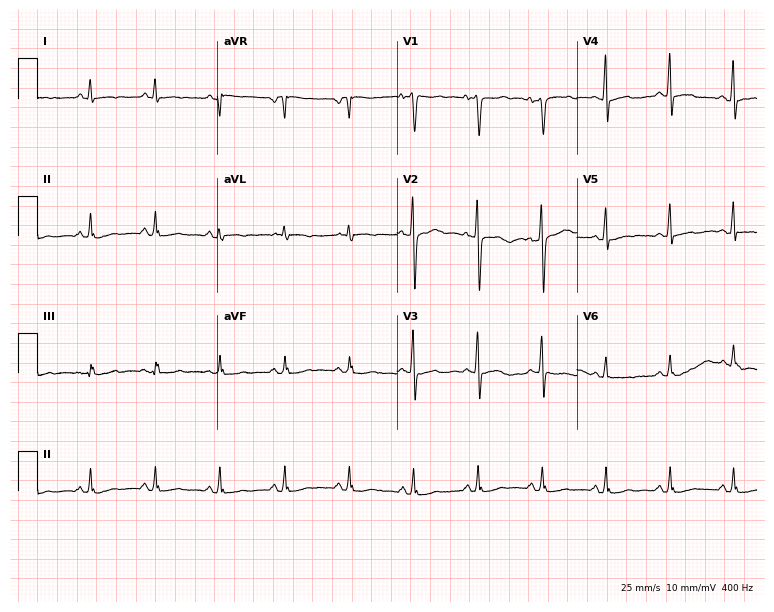
Resting 12-lead electrocardiogram (7.3-second recording at 400 Hz). Patient: a female, 50 years old. Read as a normal ECG.